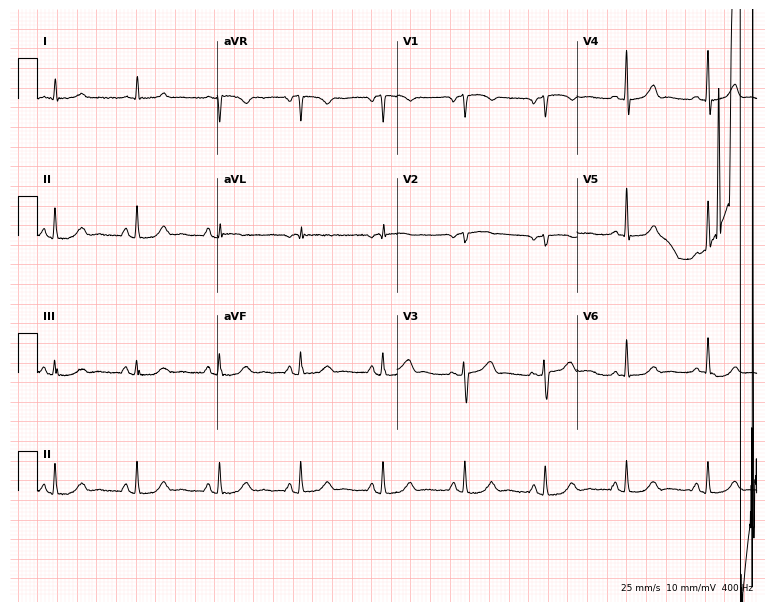
12-lead ECG from a 62-year-old woman (7.3-second recording at 400 Hz). Recorded interpretation: within normal limits.